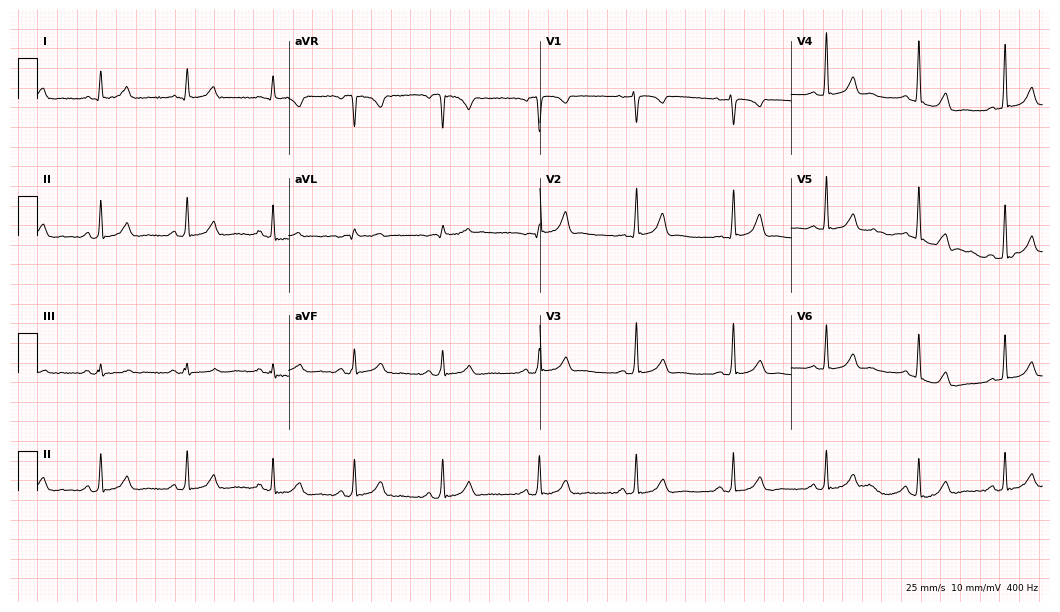
Standard 12-lead ECG recorded from a female patient, 46 years old (10.2-second recording at 400 Hz). Read as a normal ECG.